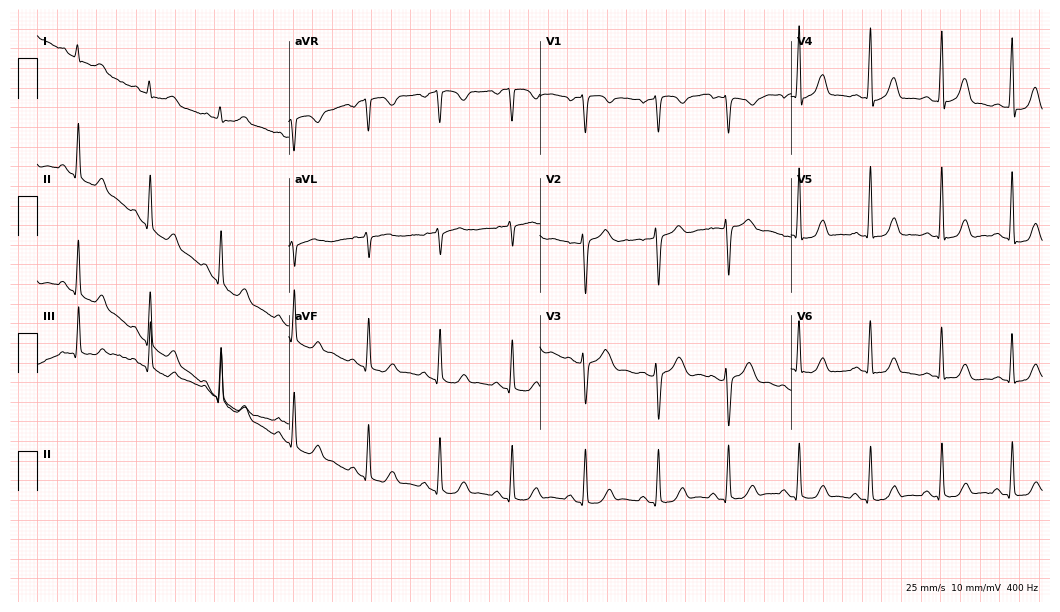
12-lead ECG (10.2-second recording at 400 Hz) from a 44-year-old female. Labelled as a normal ECG.